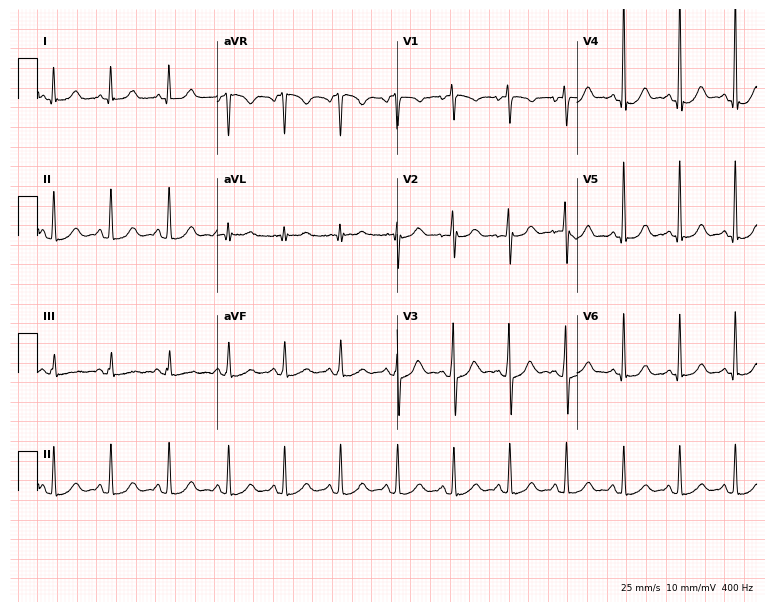
ECG (7.3-second recording at 400 Hz) — a 26-year-old female patient. Findings include sinus tachycardia (a sinus rate of 100 beats per minute or more).